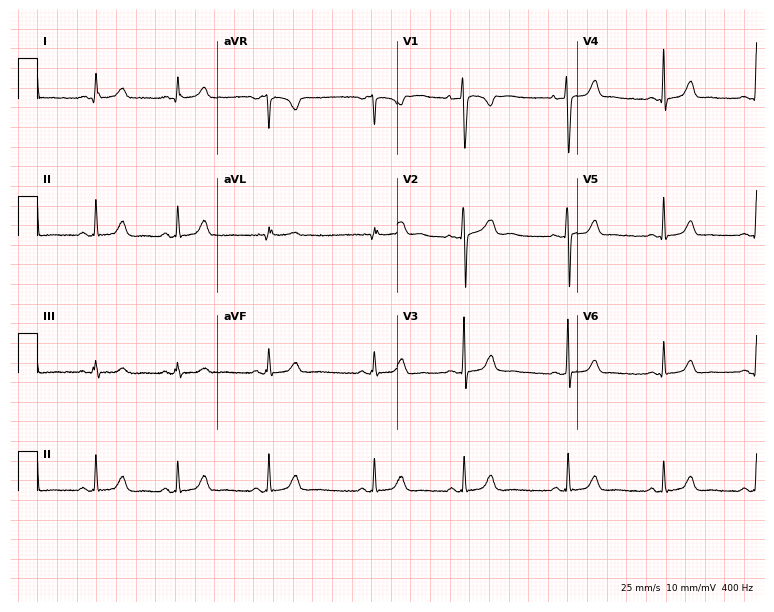
Electrocardiogram, a female patient, 21 years old. Of the six screened findings (first-degree AV block, right bundle branch block, left bundle branch block, sinus bradycardia, atrial fibrillation, sinus tachycardia), none is recorded.